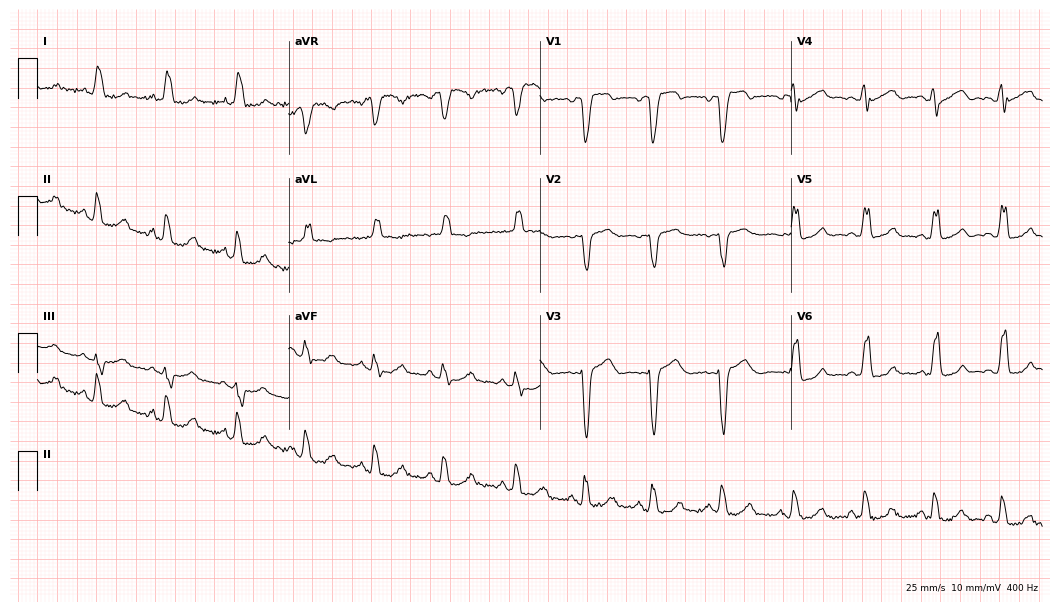
12-lead ECG from a female patient, 51 years old. Findings include left bundle branch block (LBBB).